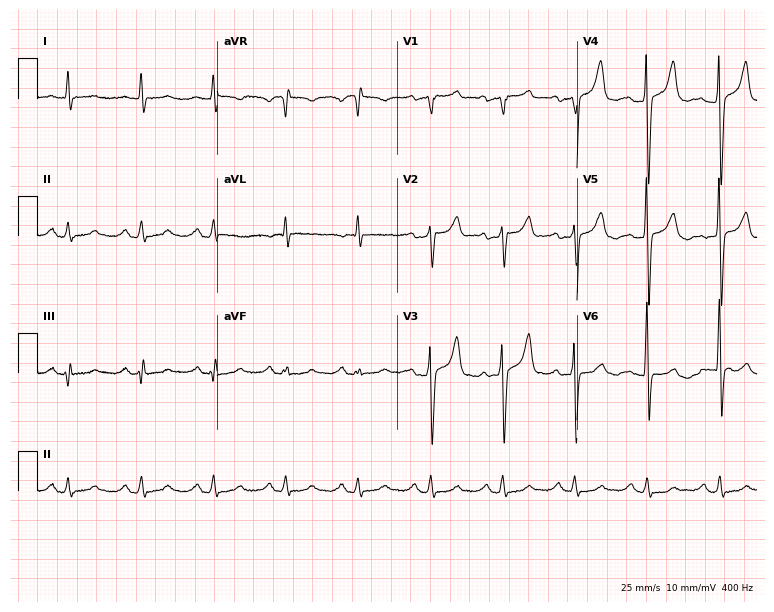
Standard 12-lead ECG recorded from a 62-year-old male (7.3-second recording at 400 Hz). None of these six findings is recorded: first-degree AV block, right bundle branch block, left bundle branch block, sinus bradycardia, atrial fibrillation, sinus tachycardia.